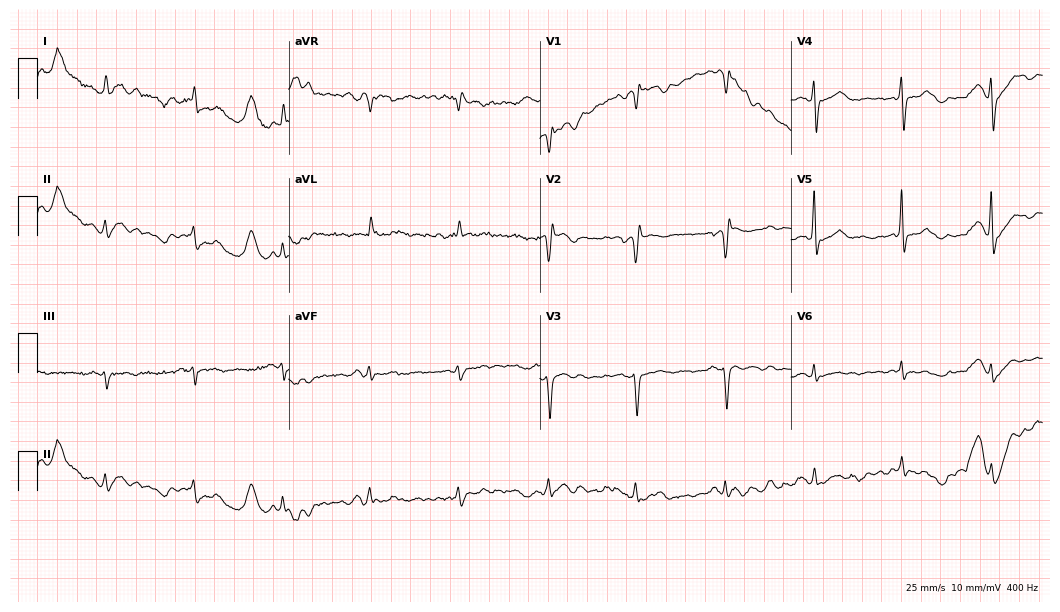
ECG (10.2-second recording at 400 Hz) — an 80-year-old woman. Screened for six findings — first-degree AV block, right bundle branch block, left bundle branch block, sinus bradycardia, atrial fibrillation, sinus tachycardia — none is recorded. Only these six findings were labelled.